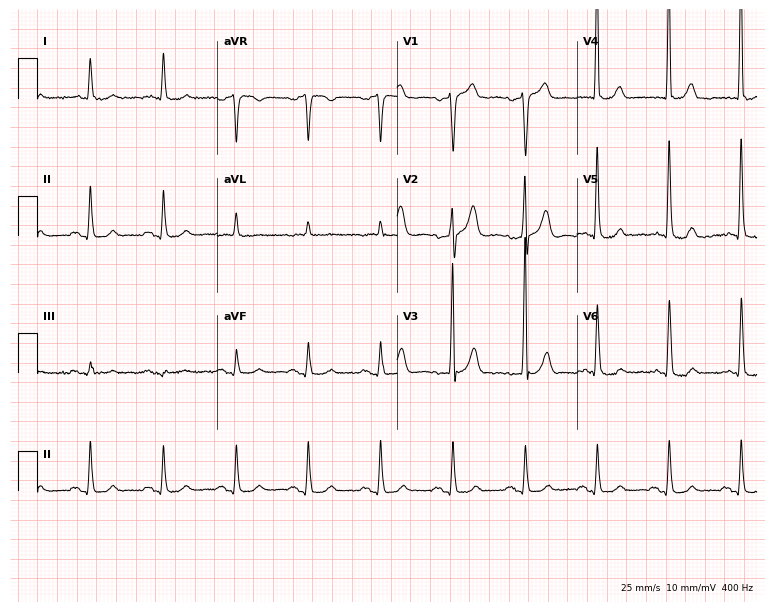
ECG — an 83-year-old male. Screened for six findings — first-degree AV block, right bundle branch block, left bundle branch block, sinus bradycardia, atrial fibrillation, sinus tachycardia — none is recorded.